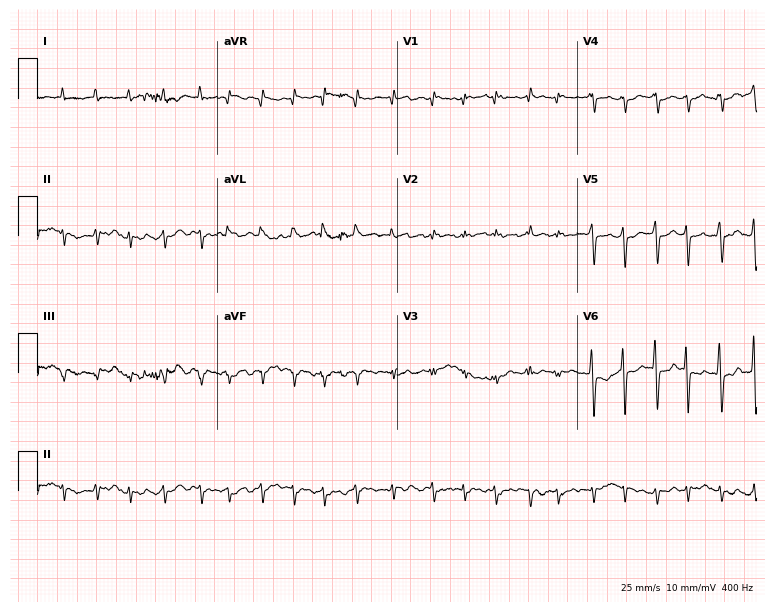
ECG (7.3-second recording at 400 Hz) — a man, 80 years old. Findings include atrial fibrillation (AF).